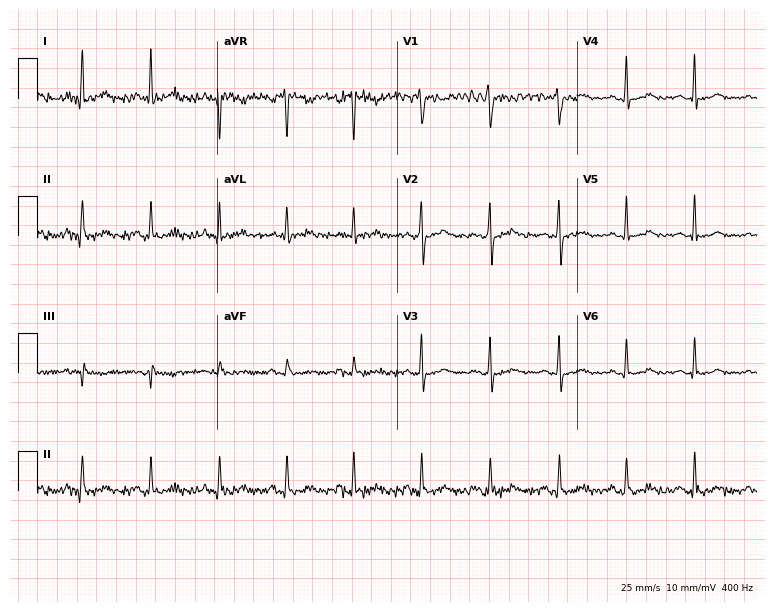
ECG (7.3-second recording at 400 Hz) — a female patient, 43 years old. Screened for six findings — first-degree AV block, right bundle branch block, left bundle branch block, sinus bradycardia, atrial fibrillation, sinus tachycardia — none is recorded. Findings outside these six are not listed.